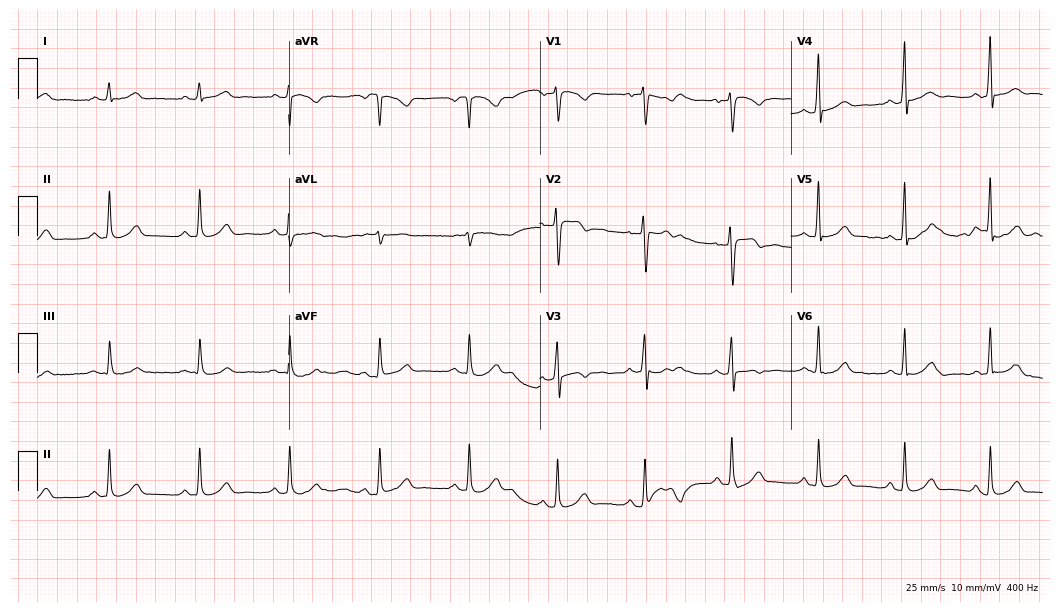
Electrocardiogram, a male patient, 49 years old. Overall reading on record: normal ECG.